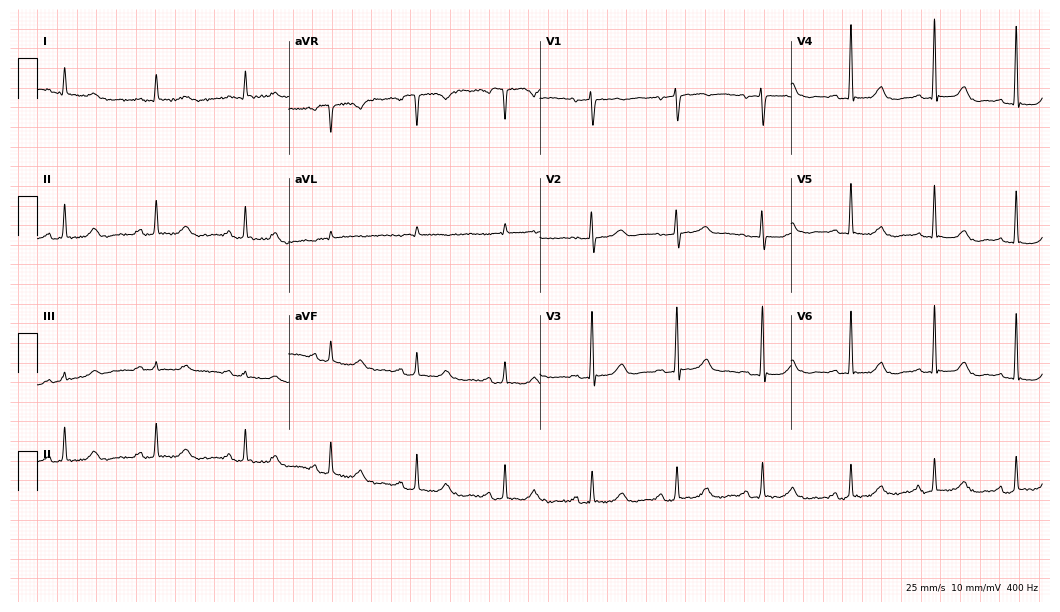
Electrocardiogram, an 80-year-old female patient. Overall reading on record: normal ECG.